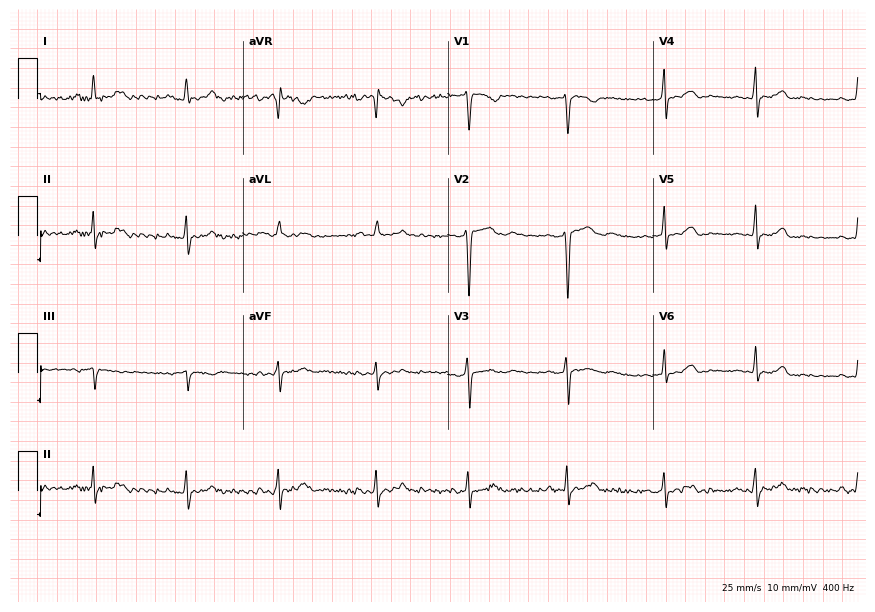
Resting 12-lead electrocardiogram (8.4-second recording at 400 Hz). Patient: a female, 23 years old. Read as a normal ECG.